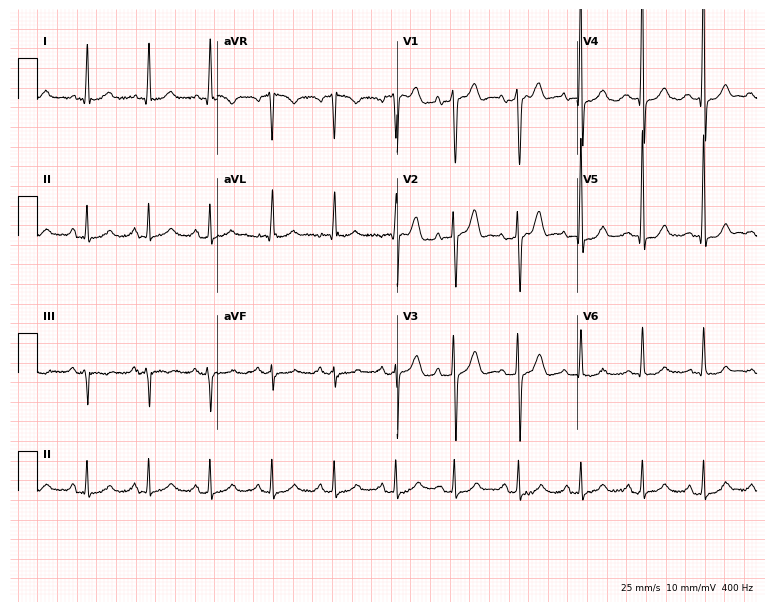
Standard 12-lead ECG recorded from a male, 73 years old. None of these six findings is recorded: first-degree AV block, right bundle branch block, left bundle branch block, sinus bradycardia, atrial fibrillation, sinus tachycardia.